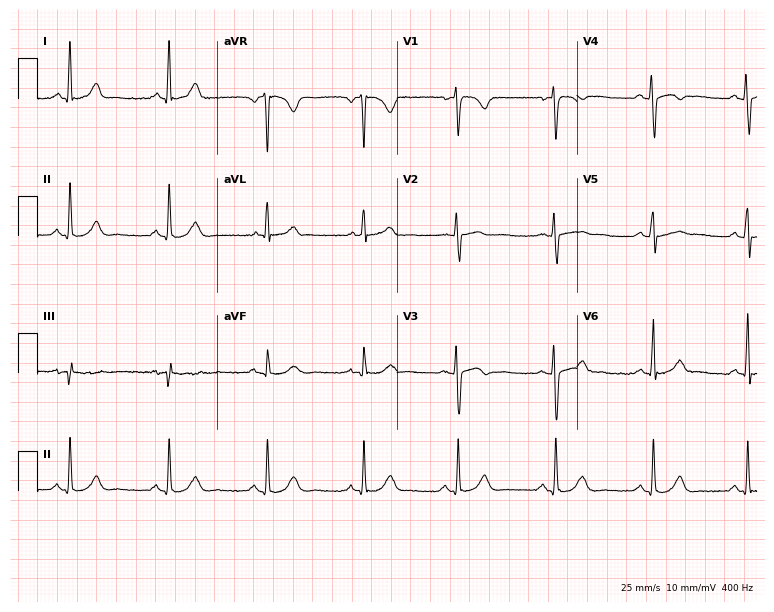
ECG — a female patient, 32 years old. Labelled as a normal ECG.